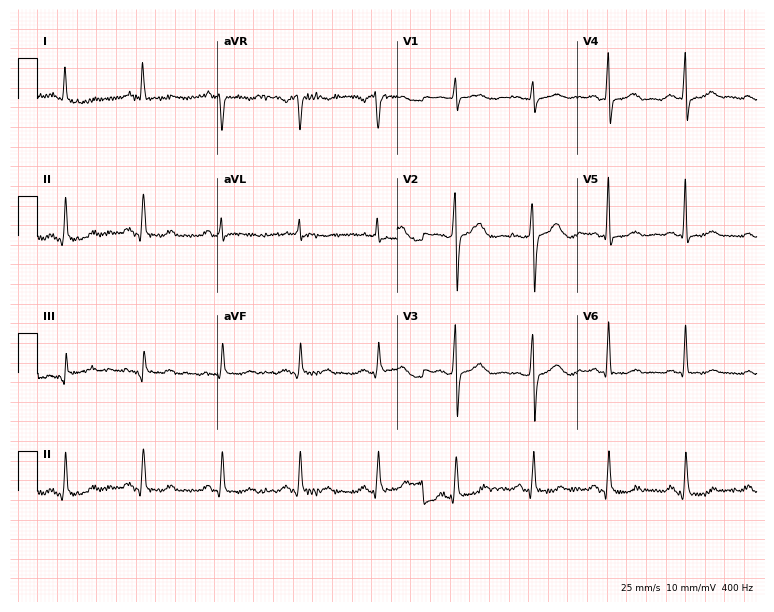
ECG (7.3-second recording at 400 Hz) — a male patient, 47 years old. Labelled as a normal ECG.